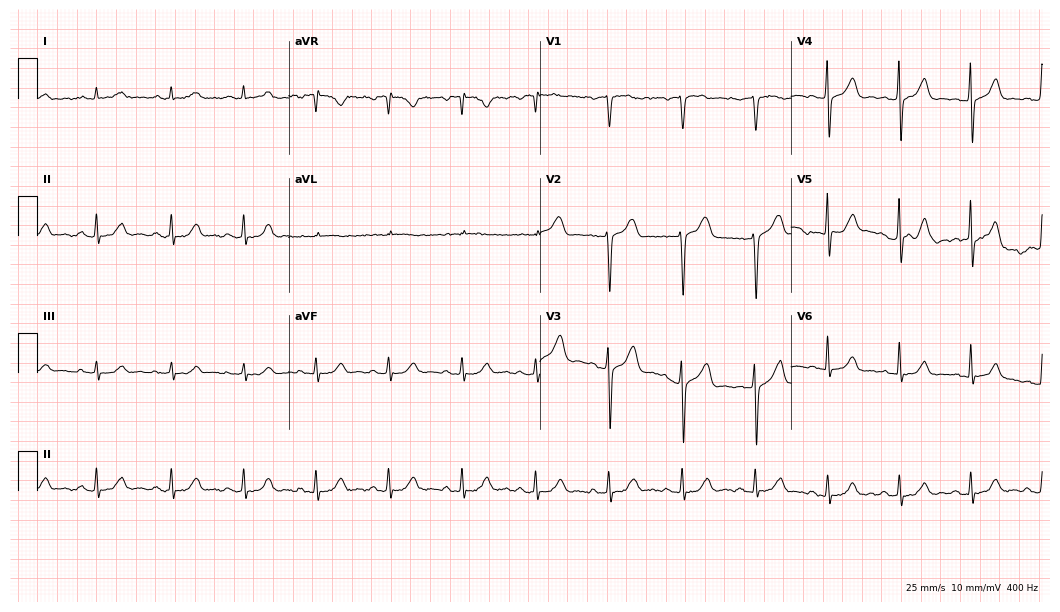
Electrocardiogram (10.2-second recording at 400 Hz), a 45-year-old male patient. Overall reading on record: normal ECG.